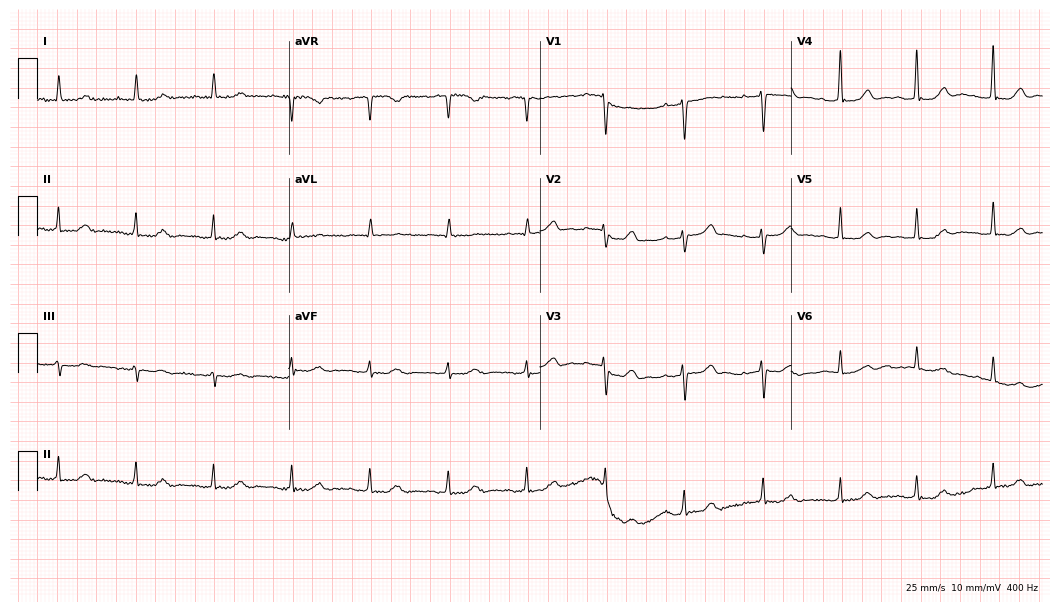
ECG (10.2-second recording at 400 Hz) — an 86-year-old male patient. Screened for six findings — first-degree AV block, right bundle branch block (RBBB), left bundle branch block (LBBB), sinus bradycardia, atrial fibrillation (AF), sinus tachycardia — none is recorded.